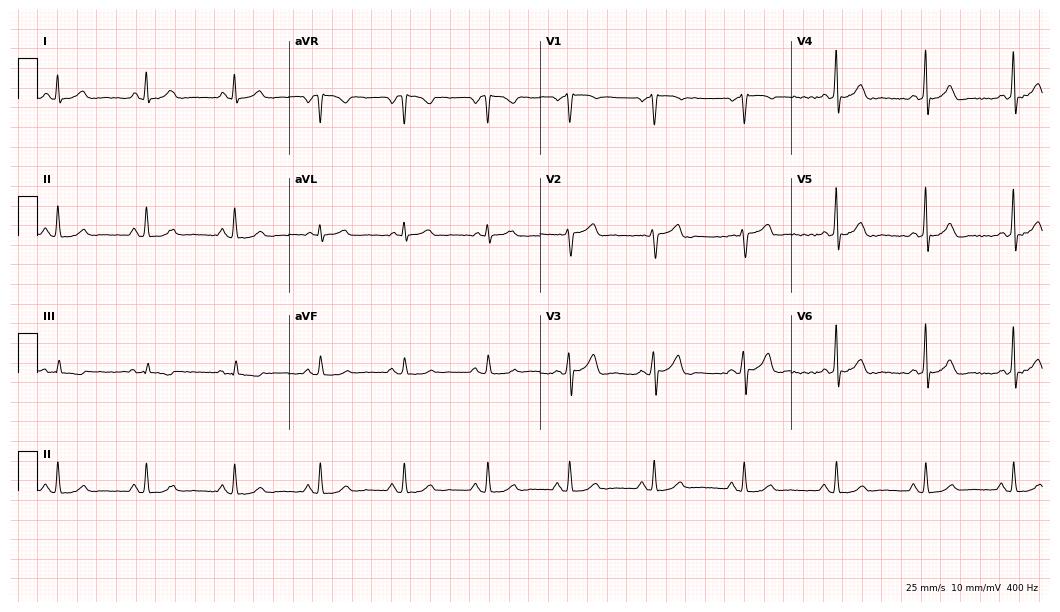
Resting 12-lead electrocardiogram. Patient: a male, 61 years old. Read as a normal ECG.